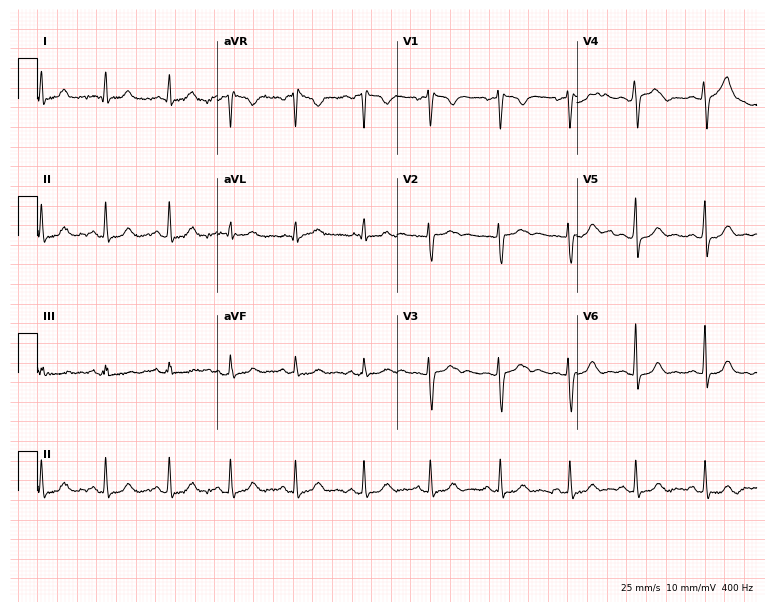
Electrocardiogram, a 45-year-old female patient. Overall reading on record: normal ECG.